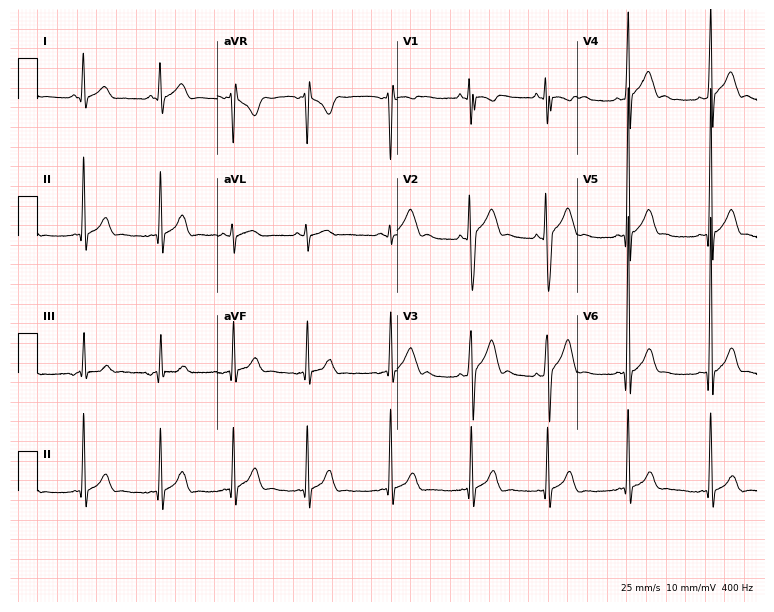
12-lead ECG (7.3-second recording at 400 Hz) from an 18-year-old male. Screened for six findings — first-degree AV block, right bundle branch block, left bundle branch block, sinus bradycardia, atrial fibrillation, sinus tachycardia — none is recorded. Only these six findings were labelled.